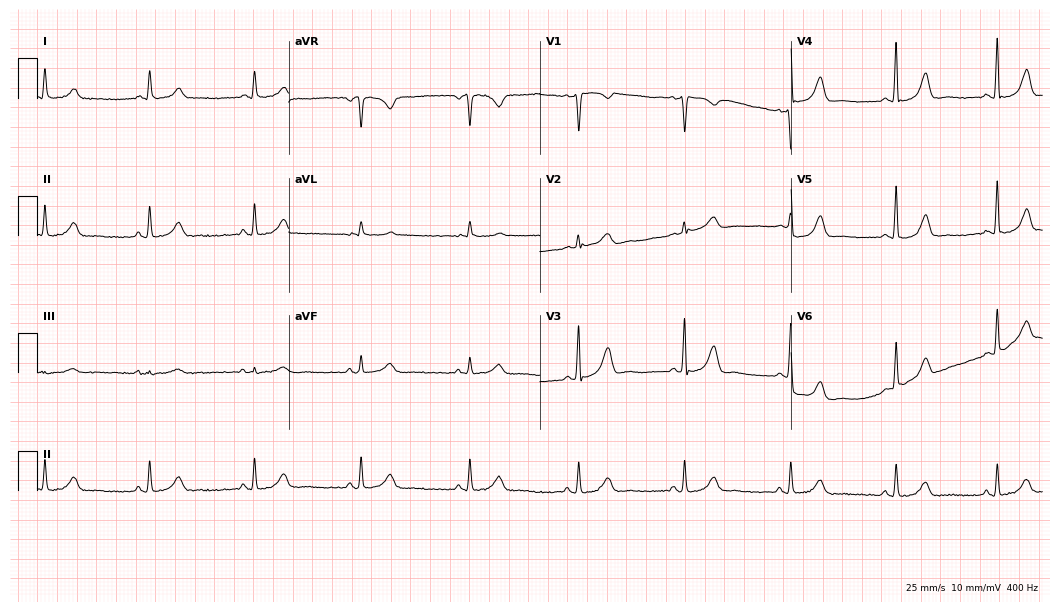
Electrocardiogram, a 57-year-old woman. Of the six screened findings (first-degree AV block, right bundle branch block, left bundle branch block, sinus bradycardia, atrial fibrillation, sinus tachycardia), none is recorded.